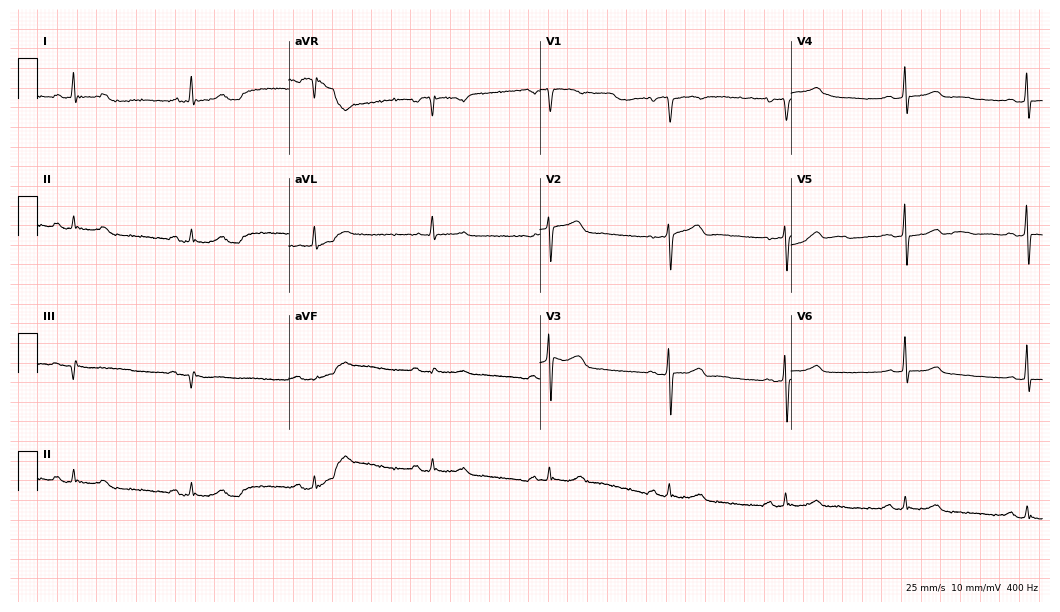
12-lead ECG from a male patient, 77 years old. Recorded interpretation: within normal limits.